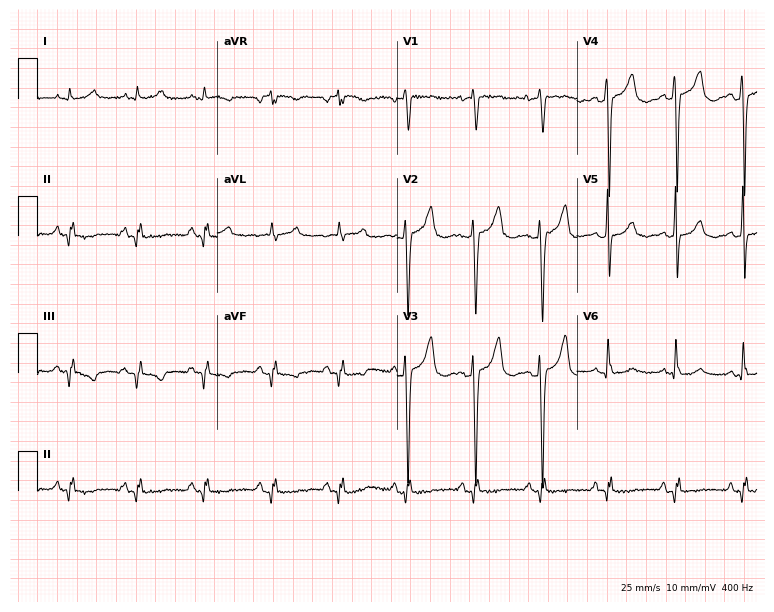
Standard 12-lead ECG recorded from a male patient, 79 years old (7.3-second recording at 400 Hz). Read as a normal ECG.